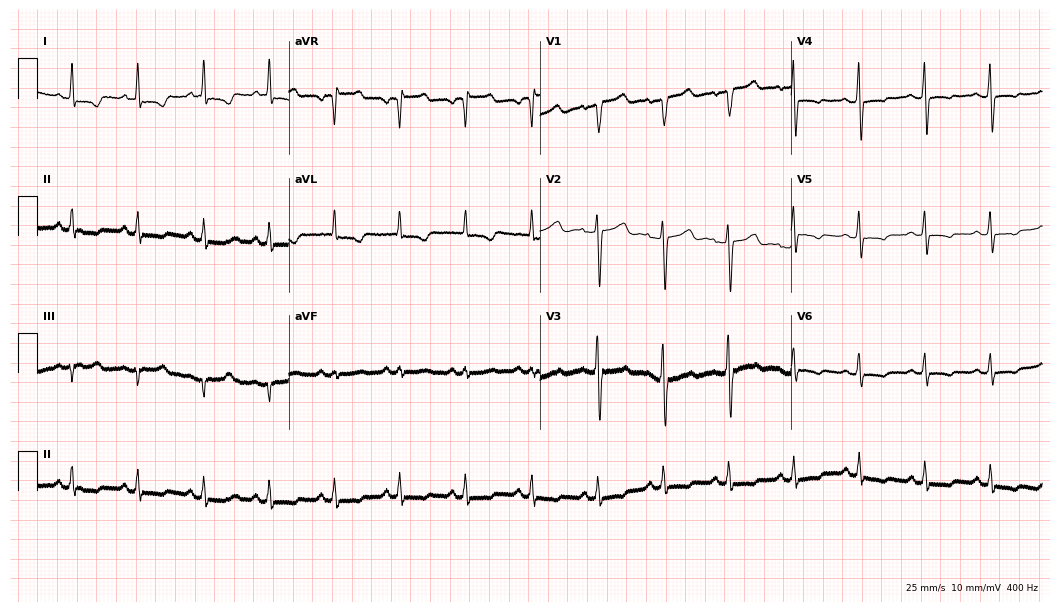
Standard 12-lead ECG recorded from a 62-year-old woman (10.2-second recording at 400 Hz). None of these six findings is recorded: first-degree AV block, right bundle branch block, left bundle branch block, sinus bradycardia, atrial fibrillation, sinus tachycardia.